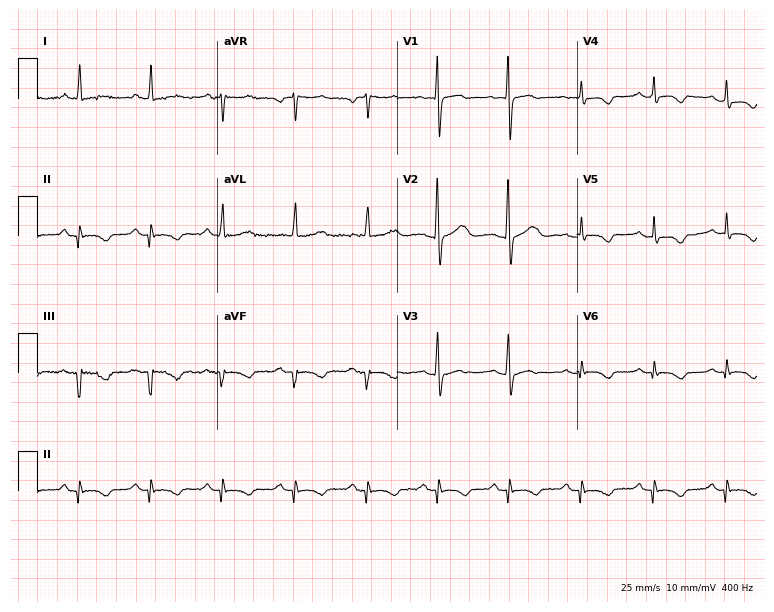
Standard 12-lead ECG recorded from a woman, 58 years old. None of these six findings is recorded: first-degree AV block, right bundle branch block (RBBB), left bundle branch block (LBBB), sinus bradycardia, atrial fibrillation (AF), sinus tachycardia. Only these six findings were labelled.